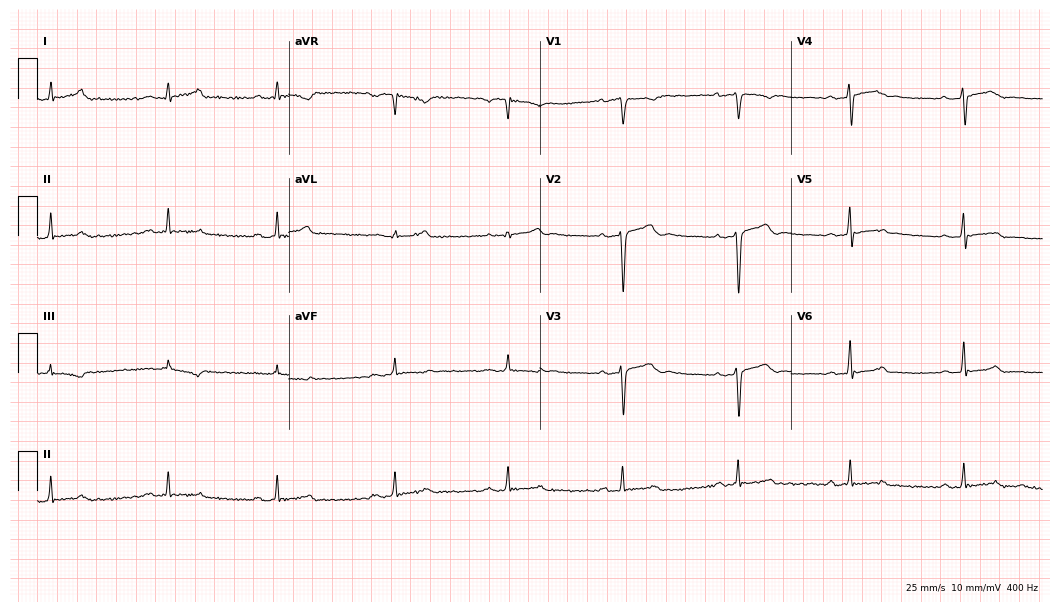
Standard 12-lead ECG recorded from a man, 26 years old. None of these six findings is recorded: first-degree AV block, right bundle branch block, left bundle branch block, sinus bradycardia, atrial fibrillation, sinus tachycardia. Other findings, if any, are not listed.